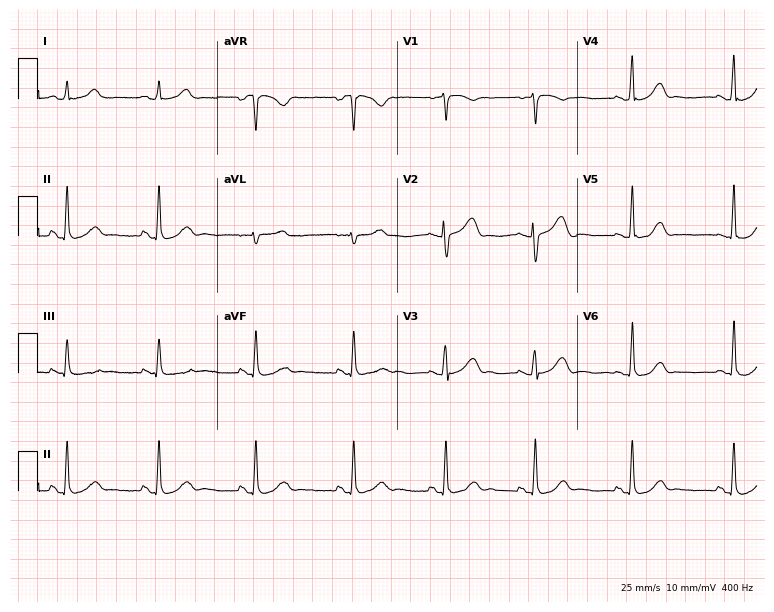
Electrocardiogram (7.3-second recording at 400 Hz), a 42-year-old female. Overall reading on record: normal ECG.